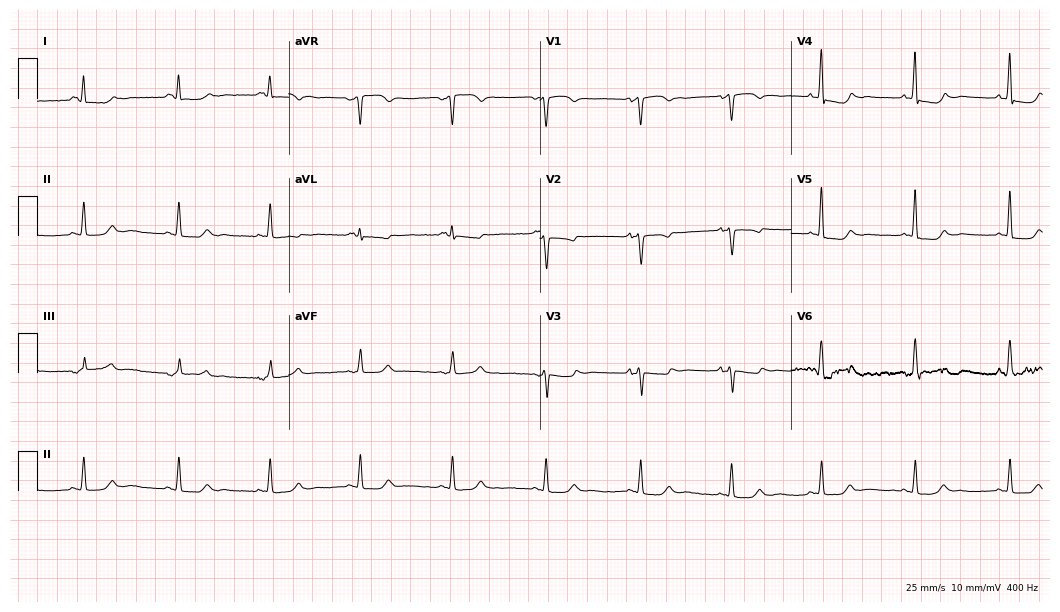
Standard 12-lead ECG recorded from a female patient, 43 years old (10.2-second recording at 400 Hz). None of these six findings is recorded: first-degree AV block, right bundle branch block, left bundle branch block, sinus bradycardia, atrial fibrillation, sinus tachycardia.